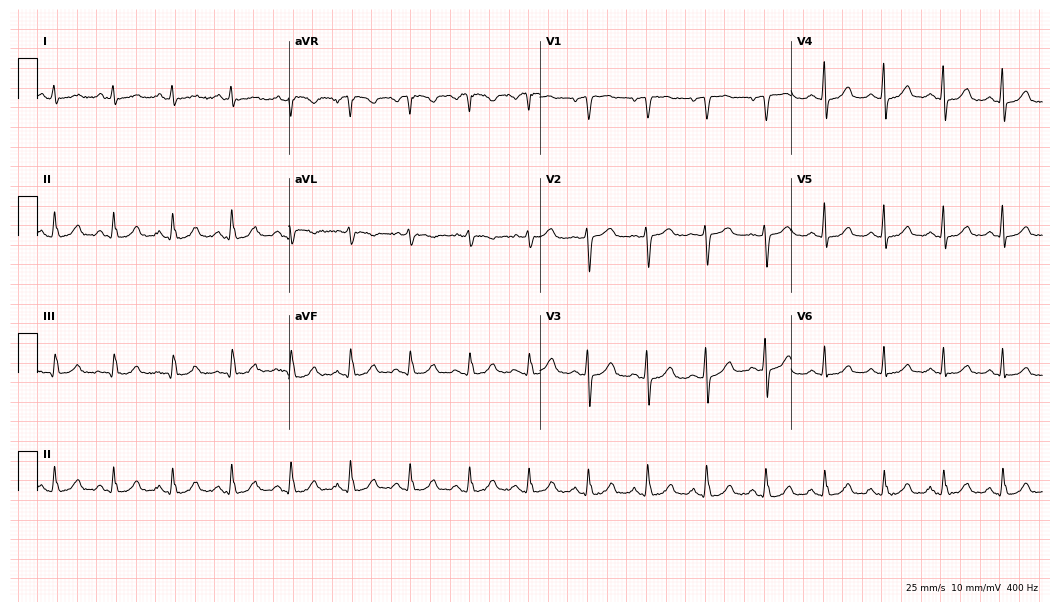
Resting 12-lead electrocardiogram (10.2-second recording at 400 Hz). Patient: a woman, 58 years old. Read as a normal ECG.